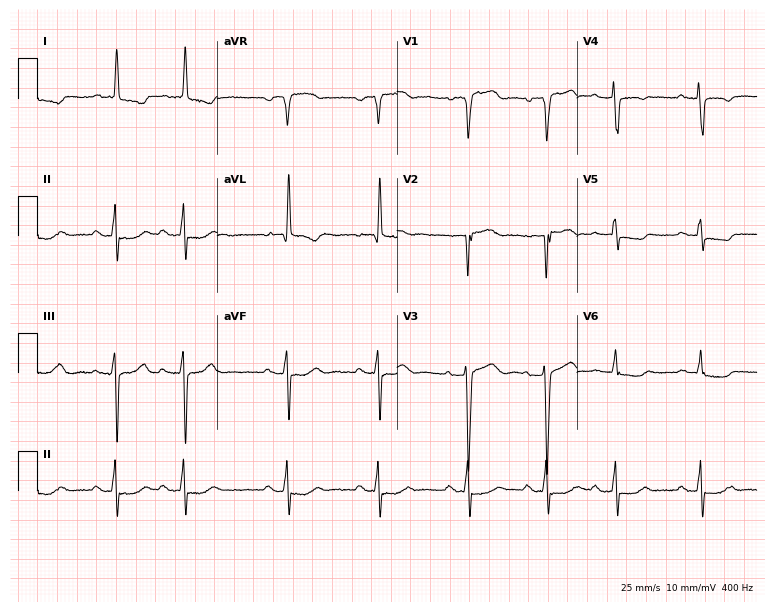
12-lead ECG (7.3-second recording at 400 Hz) from a 72-year-old female. Screened for six findings — first-degree AV block, right bundle branch block (RBBB), left bundle branch block (LBBB), sinus bradycardia, atrial fibrillation (AF), sinus tachycardia — none is recorded.